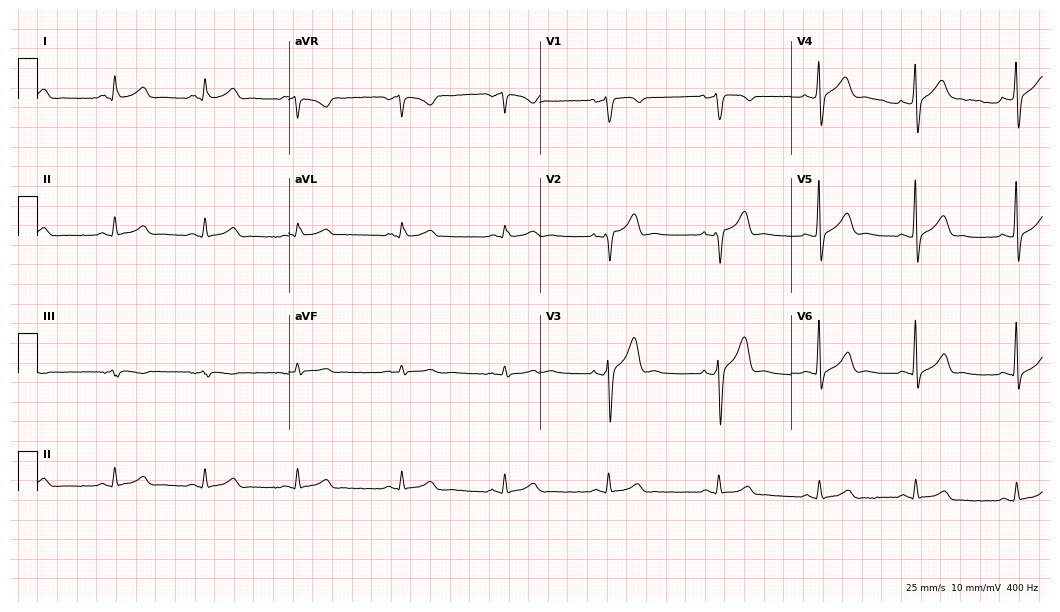
12-lead ECG from a 38-year-old male (10.2-second recording at 400 Hz). Recorded interpretation: within normal limits.